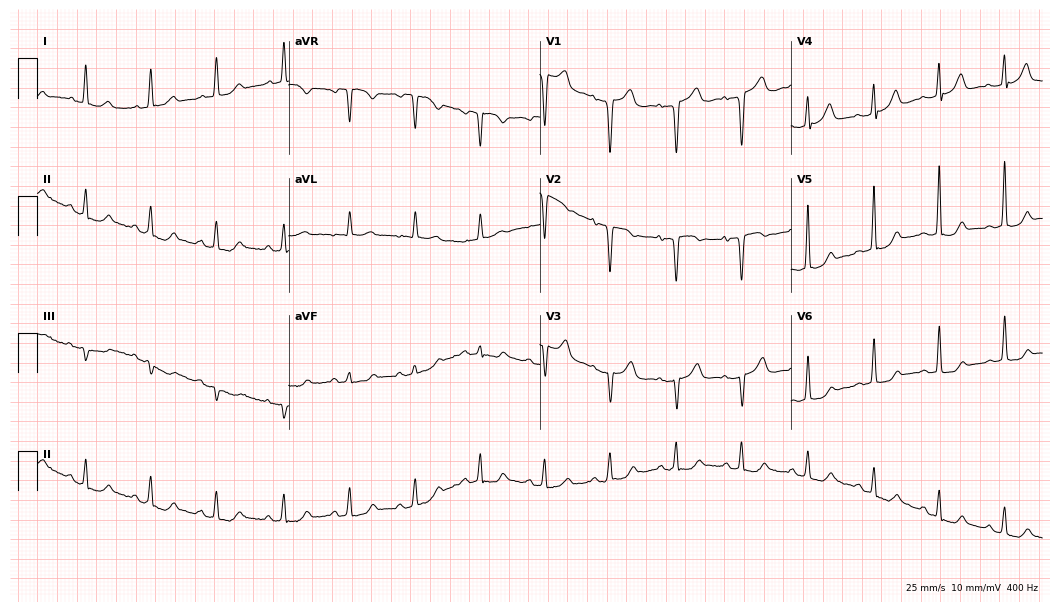
12-lead ECG from a 71-year-old female patient (10.2-second recording at 400 Hz). No first-degree AV block, right bundle branch block (RBBB), left bundle branch block (LBBB), sinus bradycardia, atrial fibrillation (AF) or sinus tachycardia recorded for this tracing. Only these six findings were labelled.